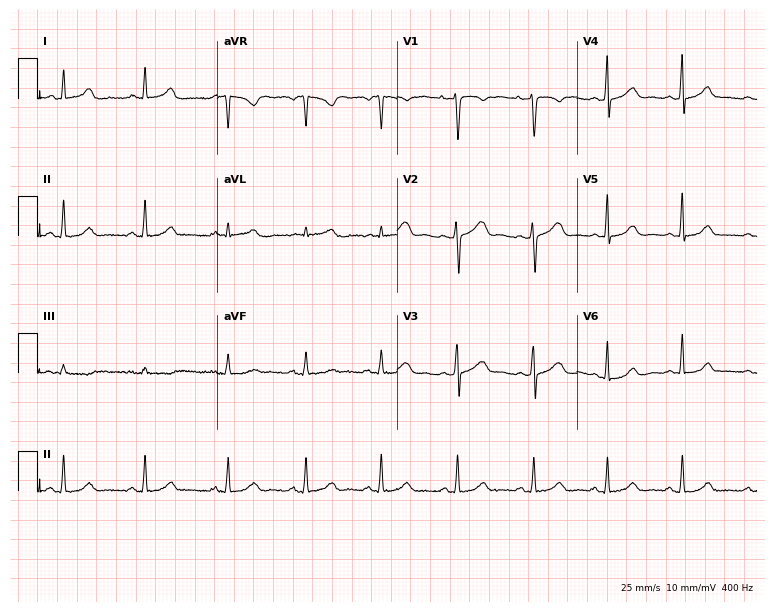
ECG — a female, 42 years old. Labelled as a normal ECG.